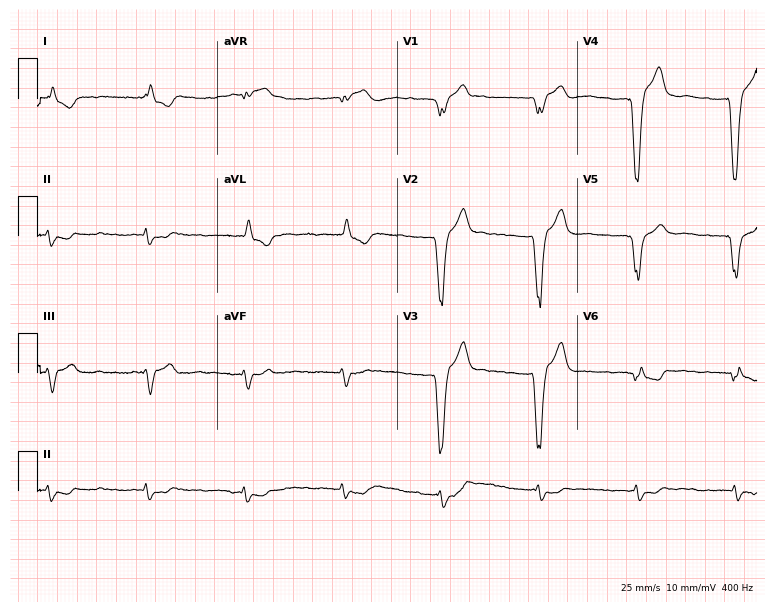
Electrocardiogram, a woman, 86 years old. Interpretation includes left bundle branch block, atrial fibrillation.